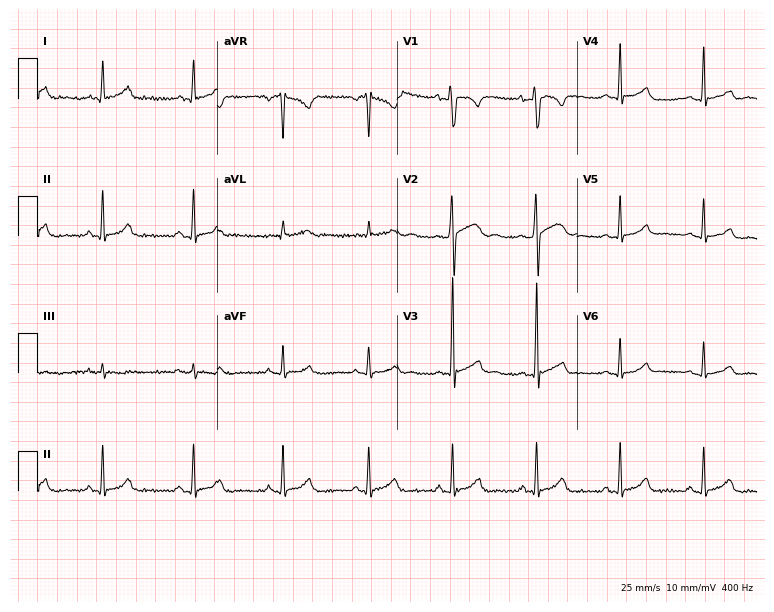
ECG — an 18-year-old male. Screened for six findings — first-degree AV block, right bundle branch block, left bundle branch block, sinus bradycardia, atrial fibrillation, sinus tachycardia — none is recorded.